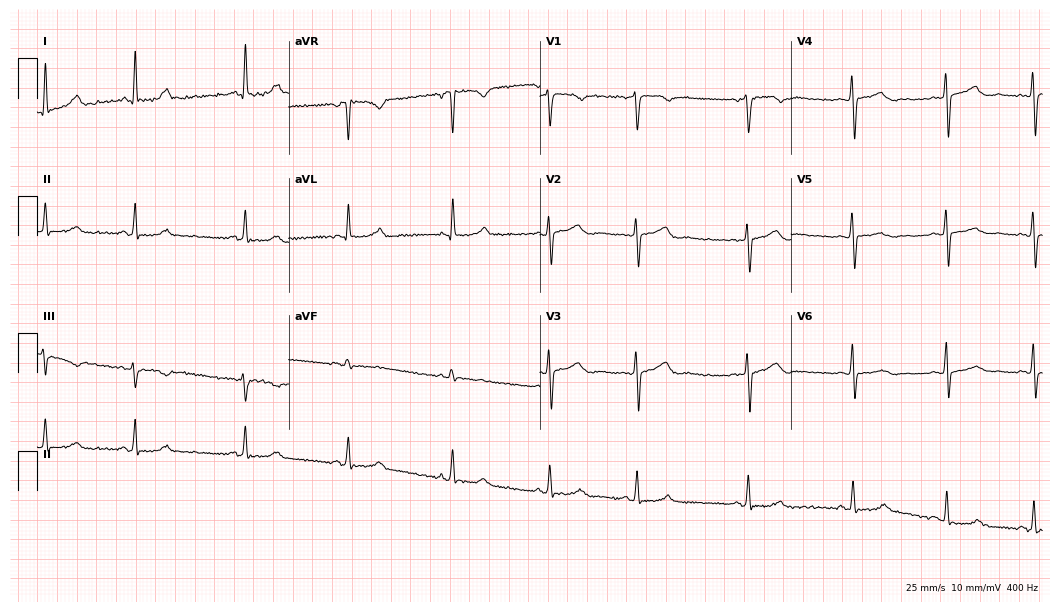
Standard 12-lead ECG recorded from a 36-year-old woman. Read as a normal ECG.